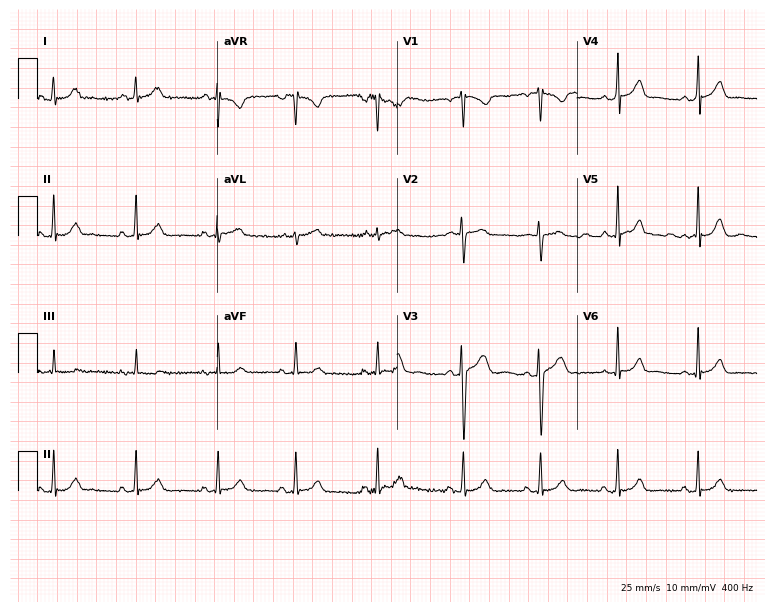
Resting 12-lead electrocardiogram. Patient: a 19-year-old female. Read as a normal ECG.